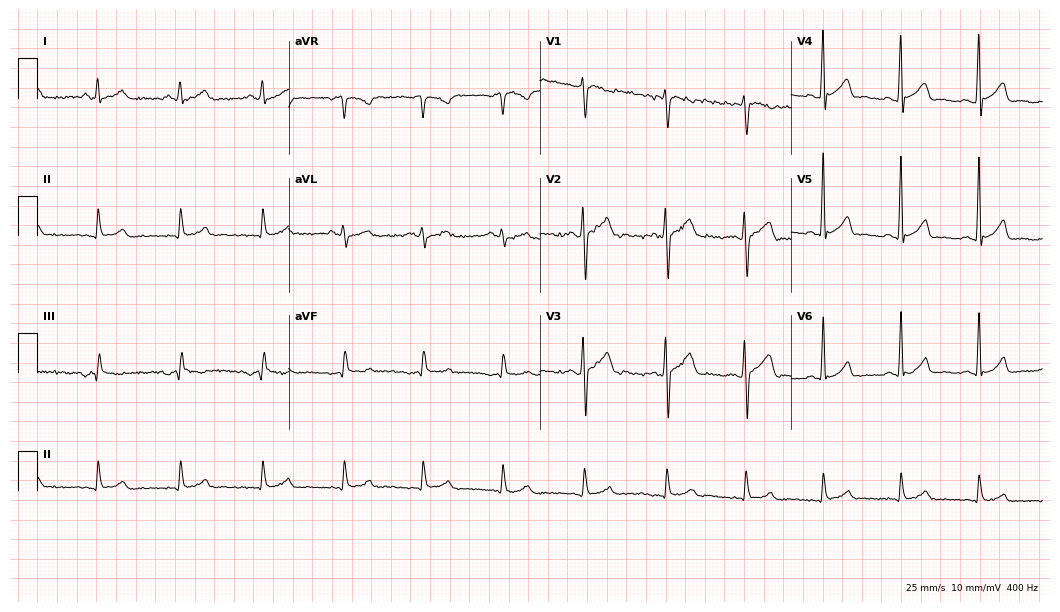
Resting 12-lead electrocardiogram (10.2-second recording at 400 Hz). Patient: a 37-year-old man. None of these six findings is recorded: first-degree AV block, right bundle branch block, left bundle branch block, sinus bradycardia, atrial fibrillation, sinus tachycardia.